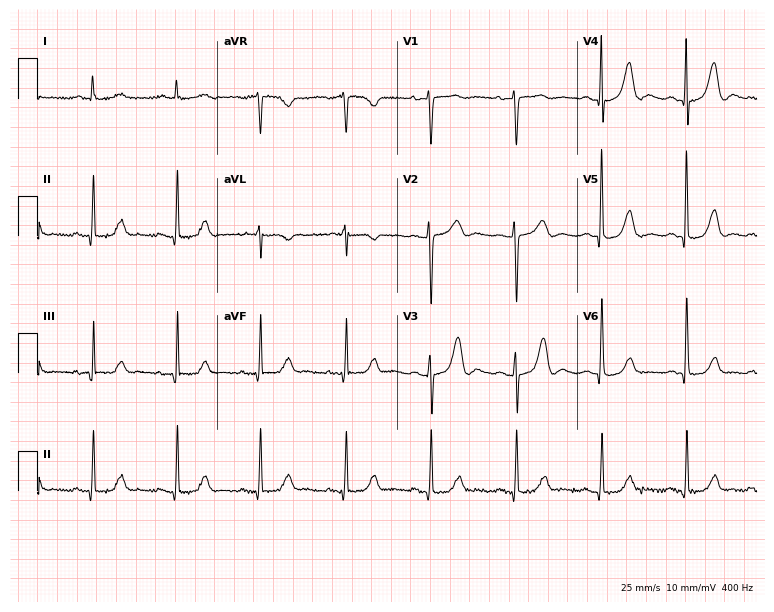
Standard 12-lead ECG recorded from a female, 73 years old (7.3-second recording at 400 Hz). Read as a normal ECG.